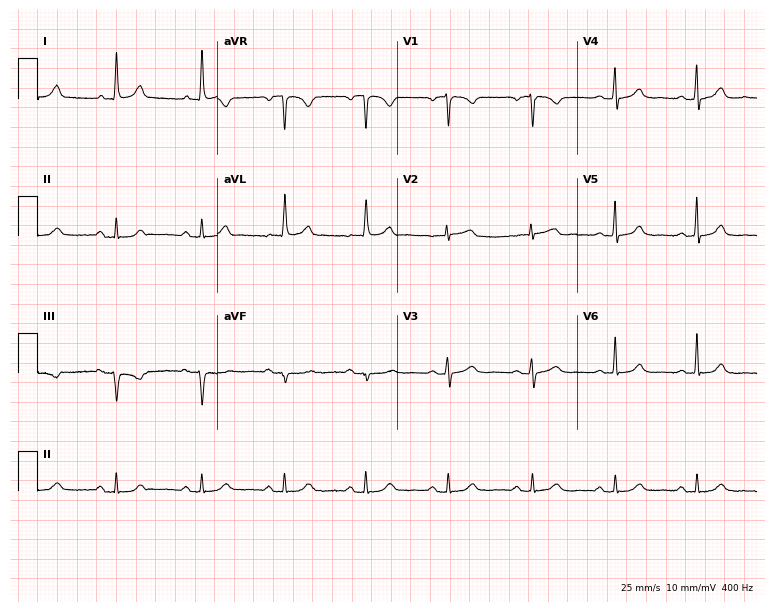
12-lead ECG (7.3-second recording at 400 Hz) from a female, 74 years old. Labelled as a normal ECG.